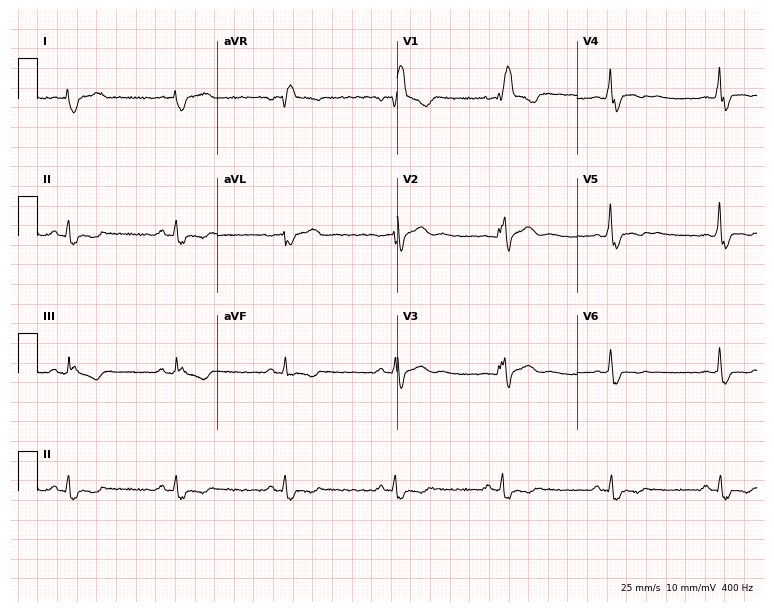
Resting 12-lead electrocardiogram. Patient: a 52-year-old man. The tracing shows right bundle branch block (RBBB).